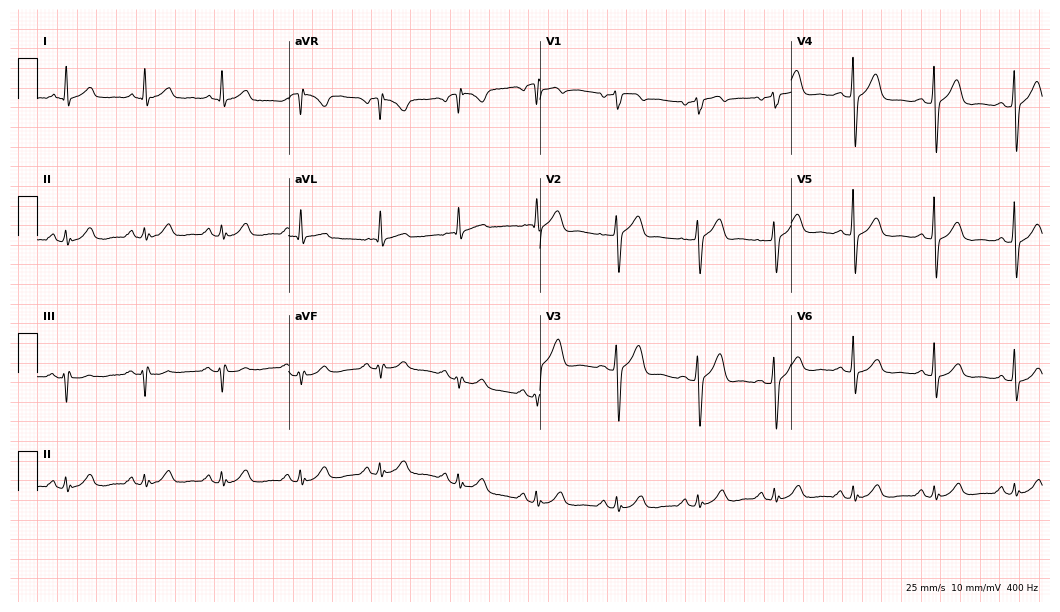
Resting 12-lead electrocardiogram (10.2-second recording at 400 Hz). Patient: a 79-year-old male. None of these six findings is recorded: first-degree AV block, right bundle branch block, left bundle branch block, sinus bradycardia, atrial fibrillation, sinus tachycardia.